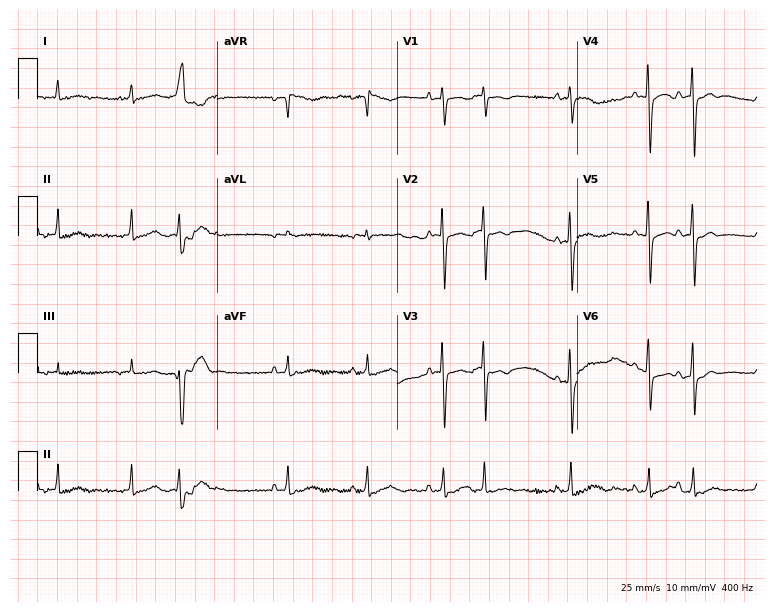
Electrocardiogram (7.3-second recording at 400 Hz), a woman, 83 years old. Of the six screened findings (first-degree AV block, right bundle branch block, left bundle branch block, sinus bradycardia, atrial fibrillation, sinus tachycardia), none is recorded. Findings outside these six are not listed.